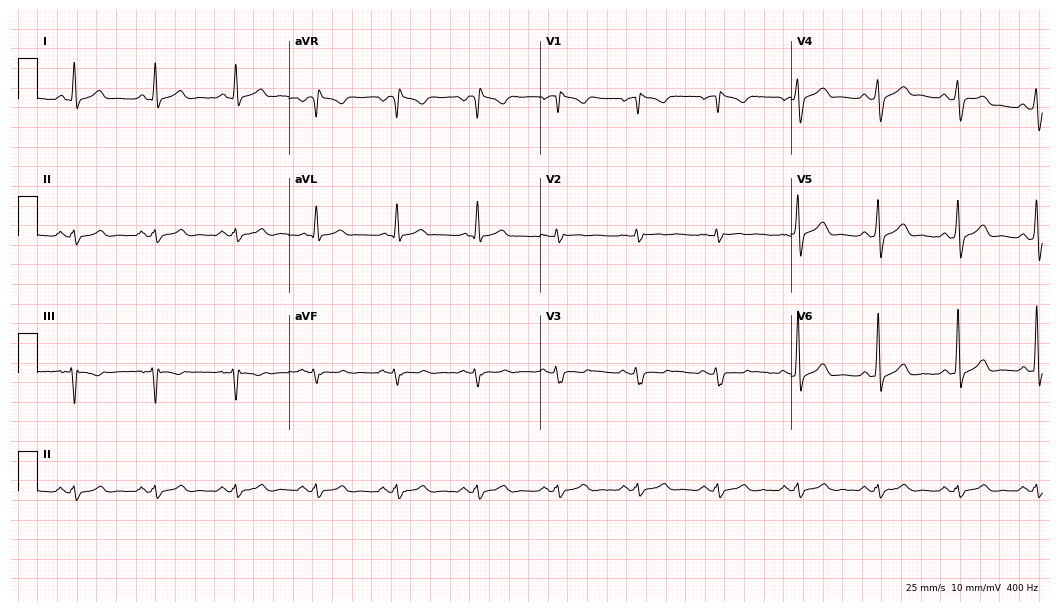
12-lead ECG from a male patient, 47 years old. No first-degree AV block, right bundle branch block, left bundle branch block, sinus bradycardia, atrial fibrillation or sinus tachycardia recorded for this tracing. Findings outside these six are not listed.